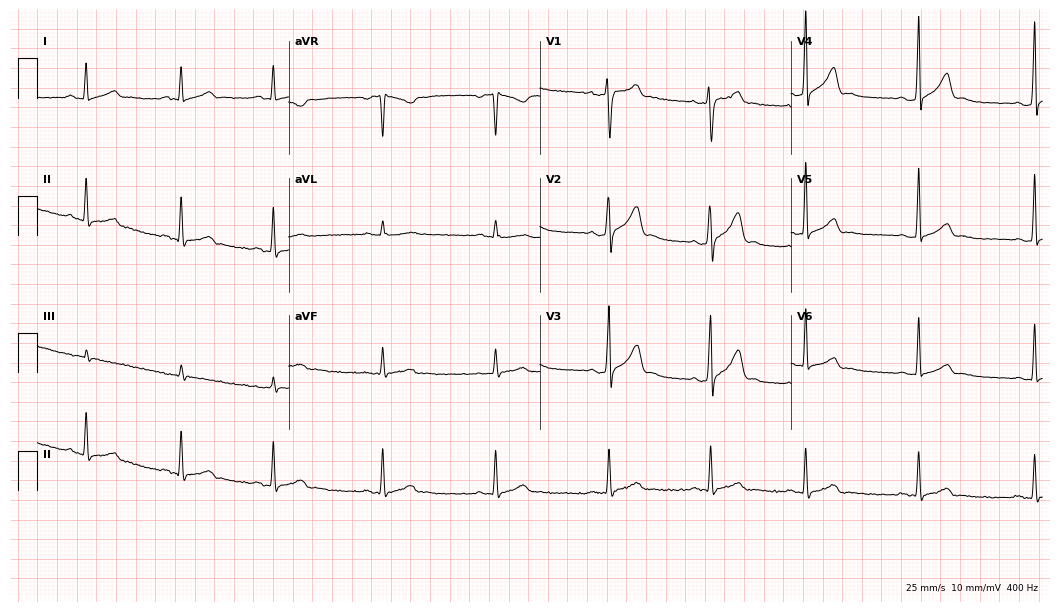
Standard 12-lead ECG recorded from a male patient, 26 years old. Read as a normal ECG.